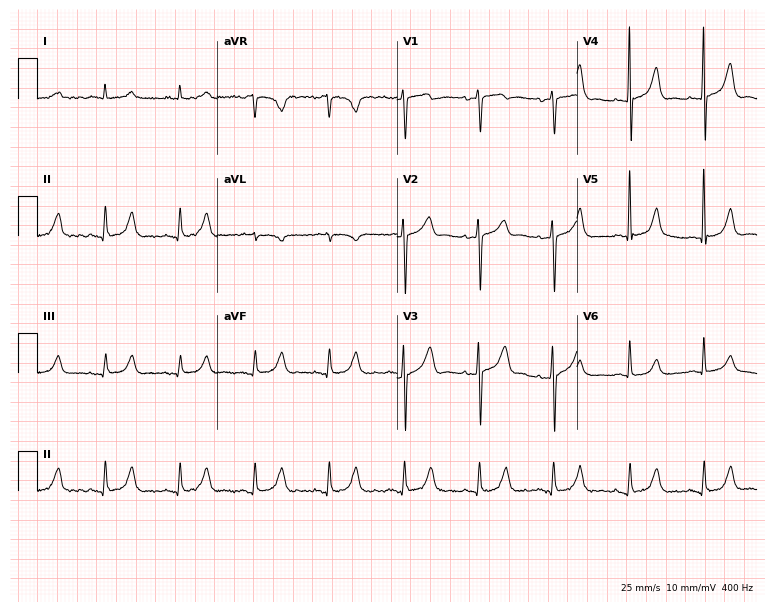
Standard 12-lead ECG recorded from a male, 71 years old (7.3-second recording at 400 Hz). None of these six findings is recorded: first-degree AV block, right bundle branch block (RBBB), left bundle branch block (LBBB), sinus bradycardia, atrial fibrillation (AF), sinus tachycardia. Other findings, if any, are not listed.